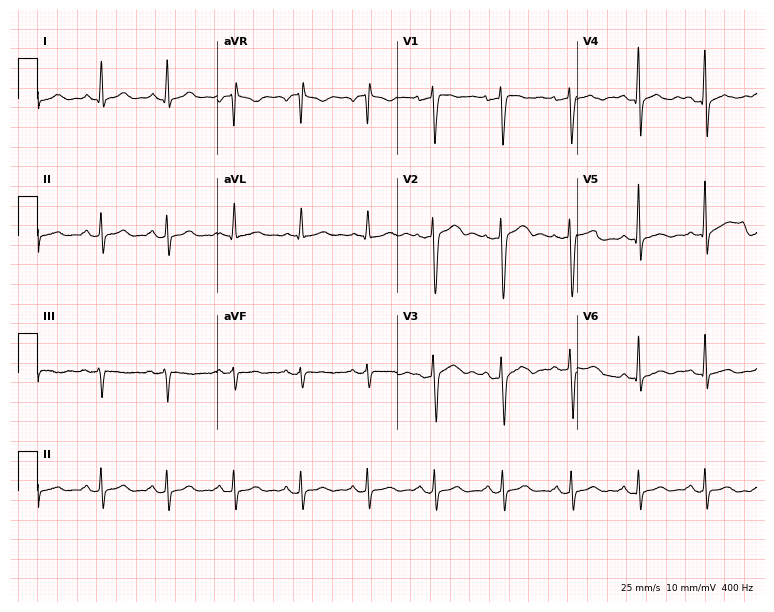
ECG (7.3-second recording at 400 Hz) — a male, 54 years old. Screened for six findings — first-degree AV block, right bundle branch block, left bundle branch block, sinus bradycardia, atrial fibrillation, sinus tachycardia — none is recorded. Only these six findings were labelled.